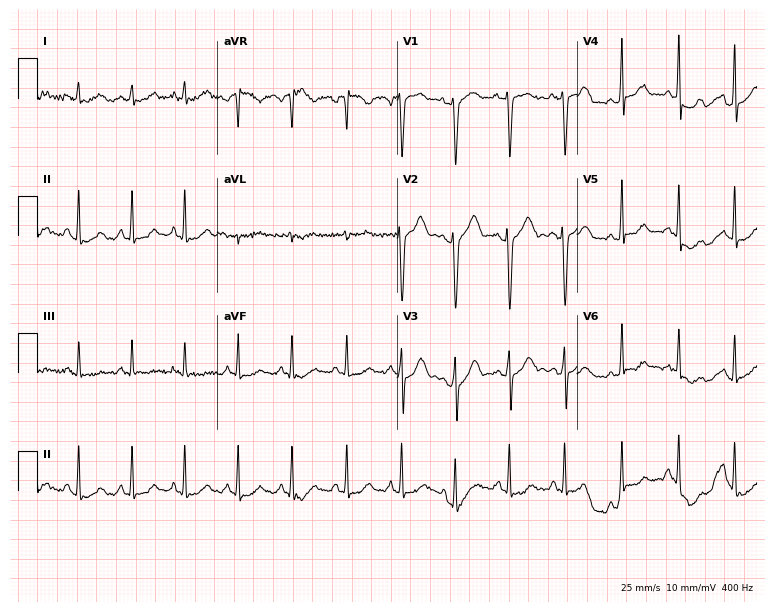
Standard 12-lead ECG recorded from a 21-year-old female patient (7.3-second recording at 400 Hz). None of these six findings is recorded: first-degree AV block, right bundle branch block, left bundle branch block, sinus bradycardia, atrial fibrillation, sinus tachycardia. Only these six findings were labelled.